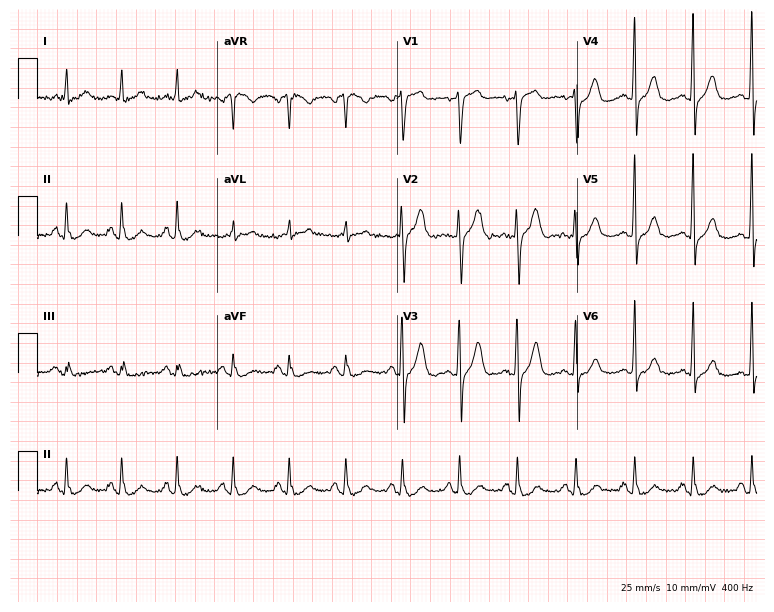
ECG — a male, 57 years old. Screened for six findings — first-degree AV block, right bundle branch block (RBBB), left bundle branch block (LBBB), sinus bradycardia, atrial fibrillation (AF), sinus tachycardia — none is recorded. Other findings, if any, are not listed.